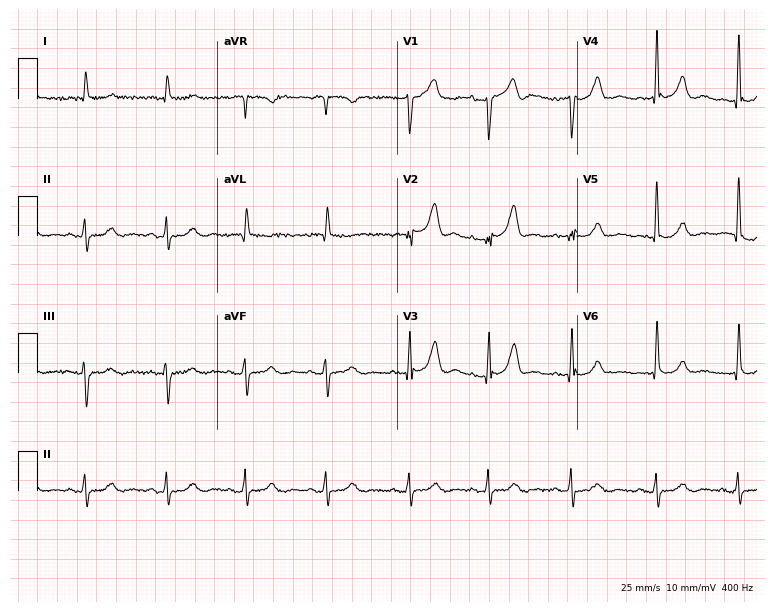
Standard 12-lead ECG recorded from an 82-year-old male patient. Read as a normal ECG.